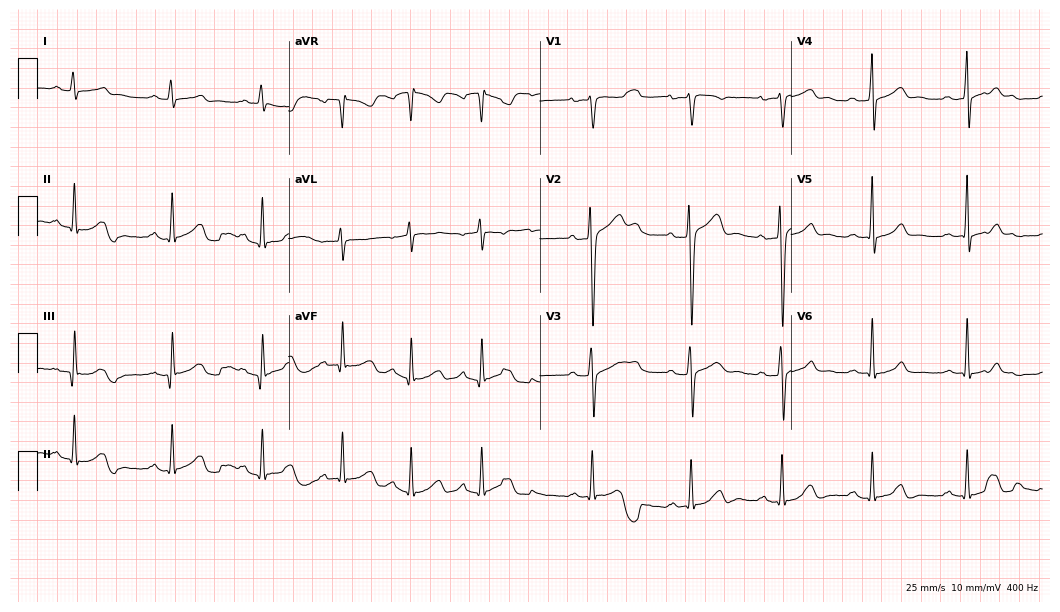
ECG (10.2-second recording at 400 Hz) — a 26-year-old male patient. Screened for six findings — first-degree AV block, right bundle branch block, left bundle branch block, sinus bradycardia, atrial fibrillation, sinus tachycardia — none is recorded.